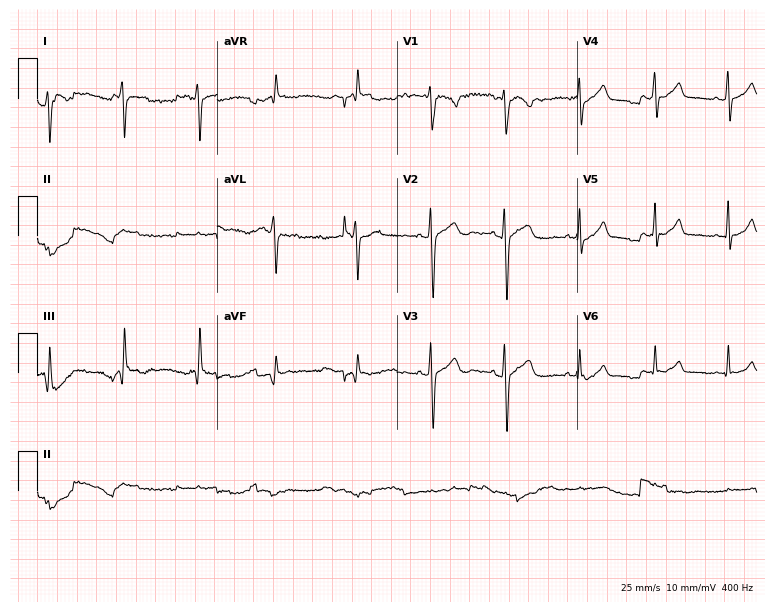
Electrocardiogram (7.3-second recording at 400 Hz), a female, 30 years old. Of the six screened findings (first-degree AV block, right bundle branch block (RBBB), left bundle branch block (LBBB), sinus bradycardia, atrial fibrillation (AF), sinus tachycardia), none is recorded. Only these six findings were labelled.